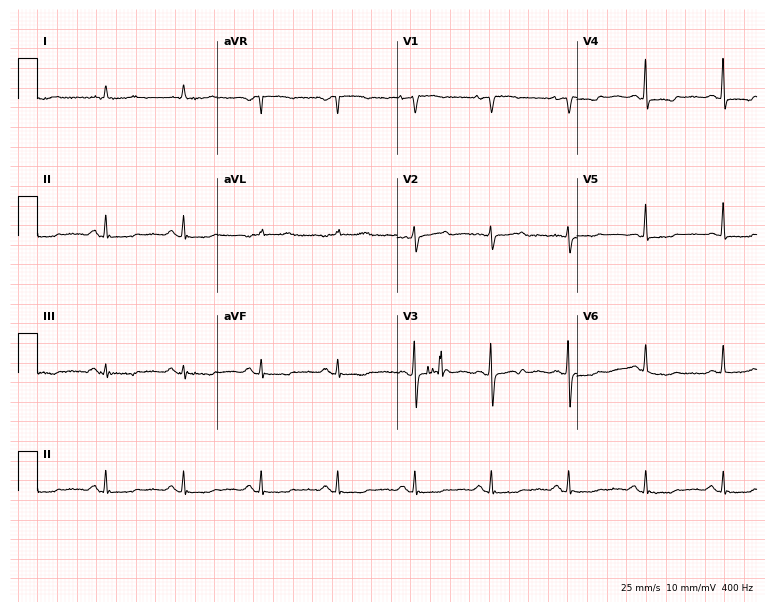
12-lead ECG from a 78-year-old woman. No first-degree AV block, right bundle branch block (RBBB), left bundle branch block (LBBB), sinus bradycardia, atrial fibrillation (AF) or sinus tachycardia recorded for this tracing.